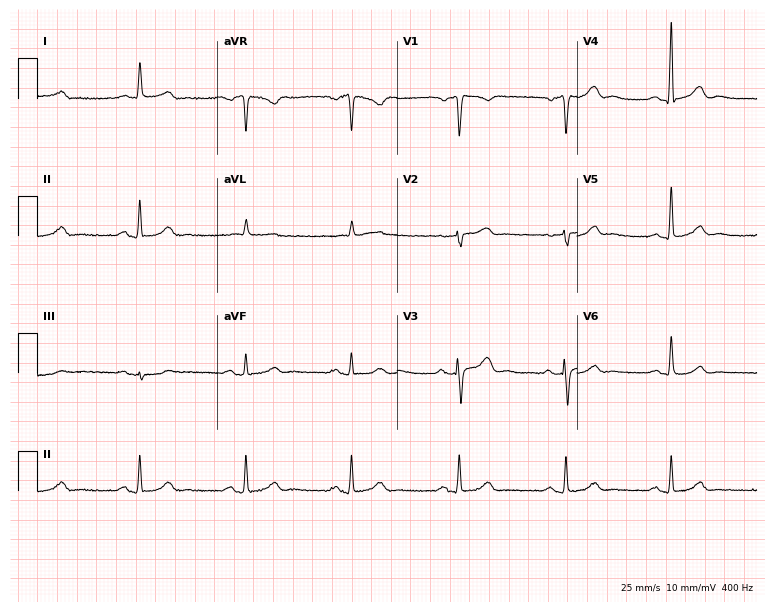
ECG — a male, 61 years old. Labelled as a normal ECG.